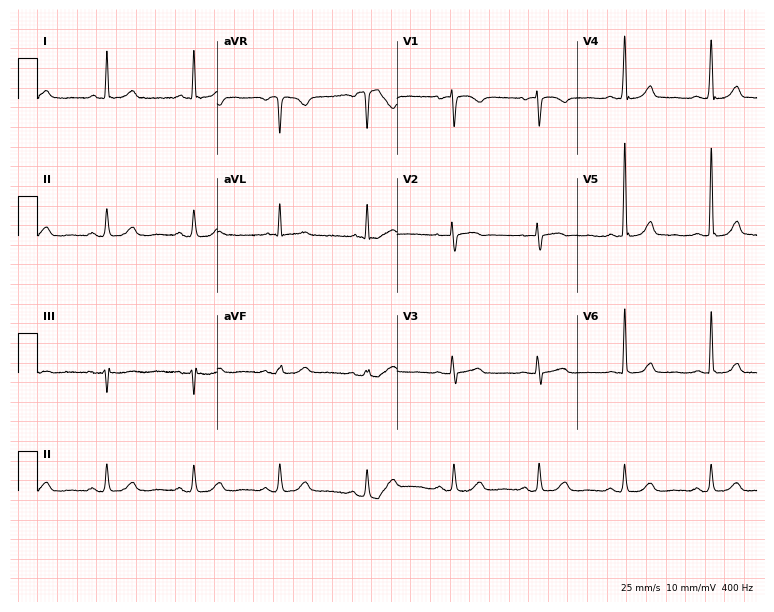
Standard 12-lead ECG recorded from a female patient, 70 years old (7.3-second recording at 400 Hz). Read as a normal ECG.